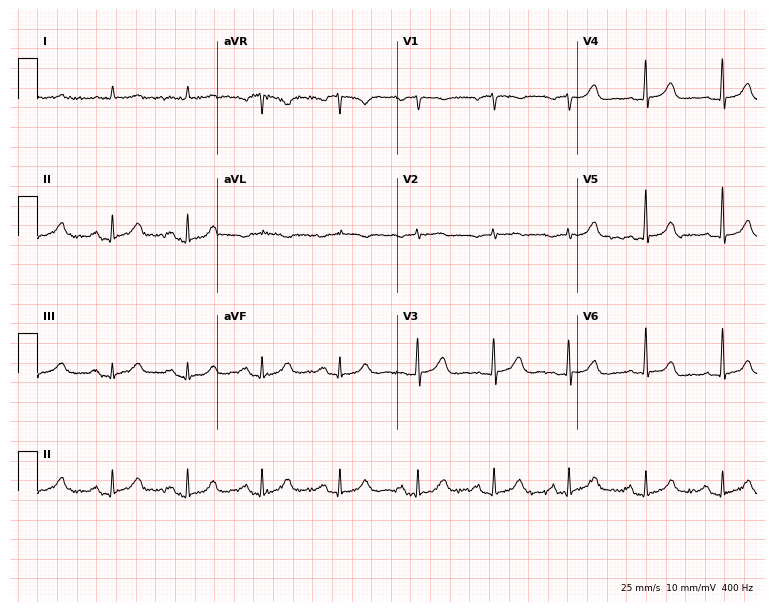
Standard 12-lead ECG recorded from a 77-year-old male. Read as a normal ECG.